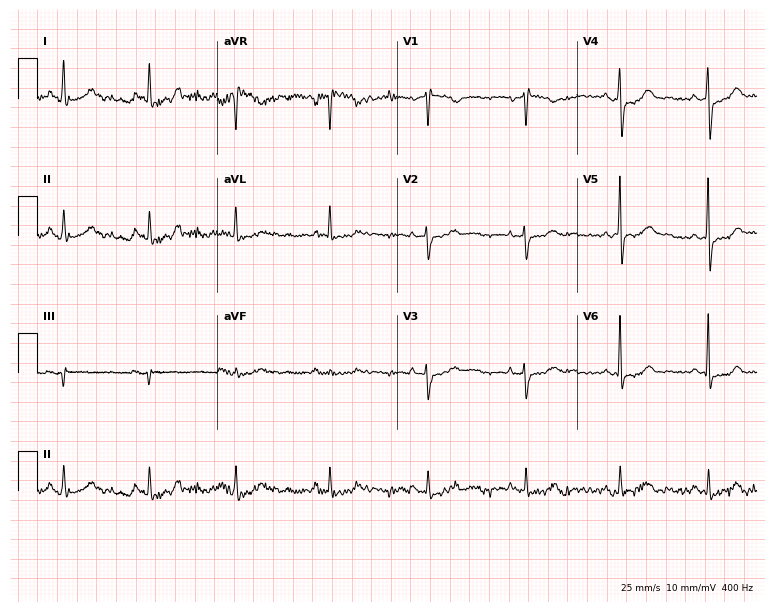
ECG (7.3-second recording at 400 Hz) — a female patient, 46 years old. Labelled as a normal ECG.